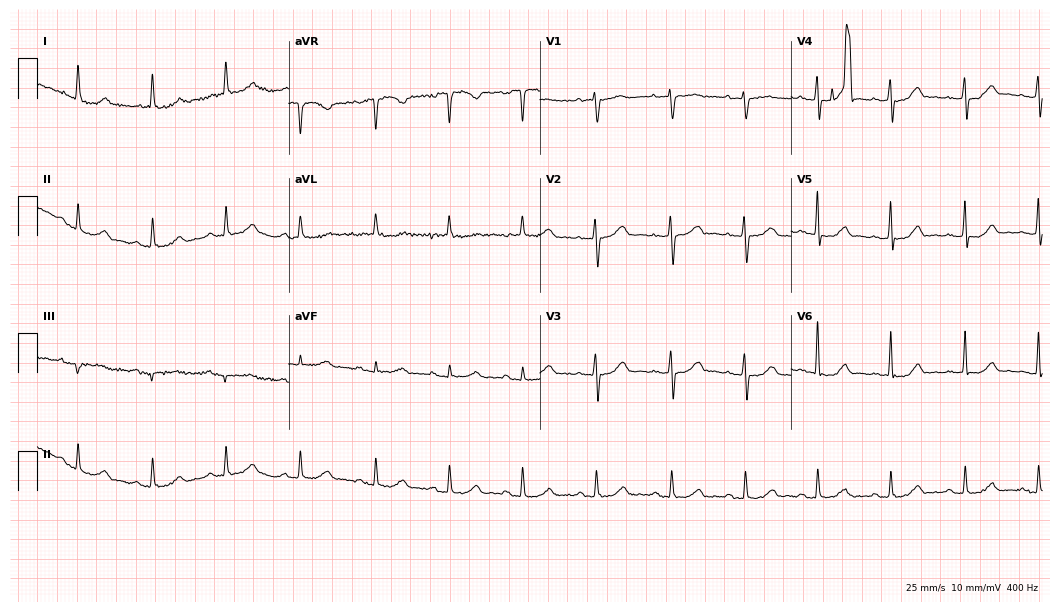
ECG (10.2-second recording at 400 Hz) — an 80-year-old male. Labelled as a normal ECG.